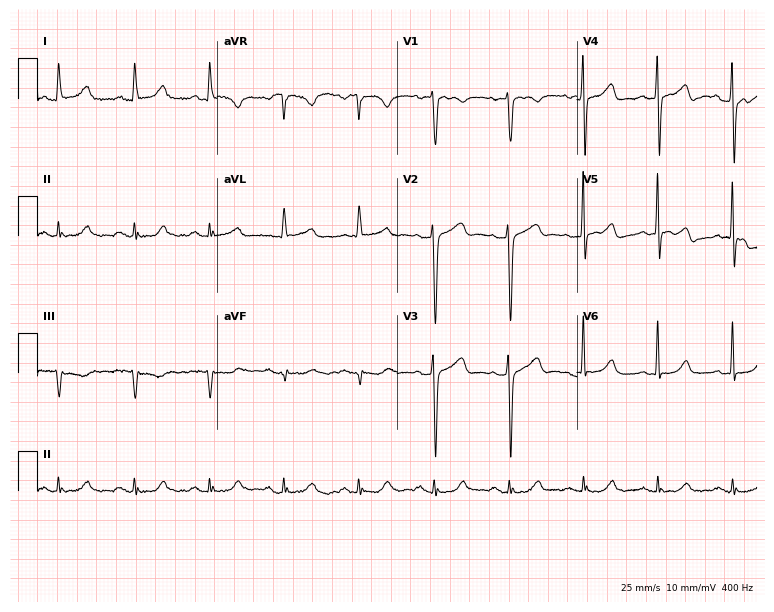
Standard 12-lead ECG recorded from a female patient, 63 years old (7.3-second recording at 400 Hz). None of these six findings is recorded: first-degree AV block, right bundle branch block (RBBB), left bundle branch block (LBBB), sinus bradycardia, atrial fibrillation (AF), sinus tachycardia.